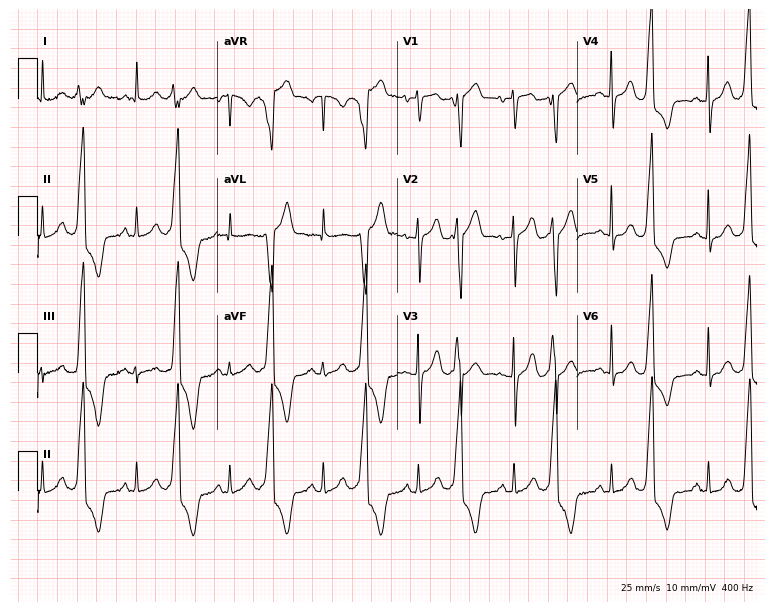
Electrocardiogram, a woman, 83 years old. Of the six screened findings (first-degree AV block, right bundle branch block, left bundle branch block, sinus bradycardia, atrial fibrillation, sinus tachycardia), none is recorded. Findings outside these six are not listed.